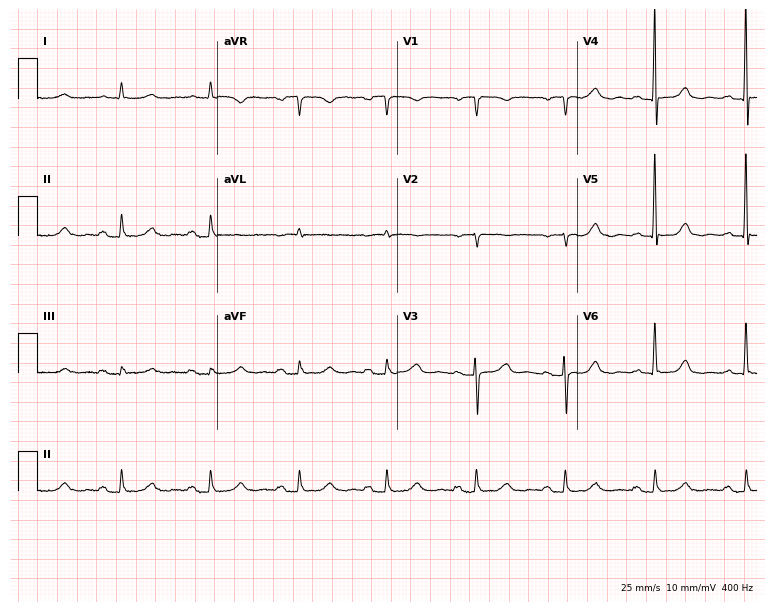
Standard 12-lead ECG recorded from a 74-year-old female patient (7.3-second recording at 400 Hz). The tracing shows first-degree AV block.